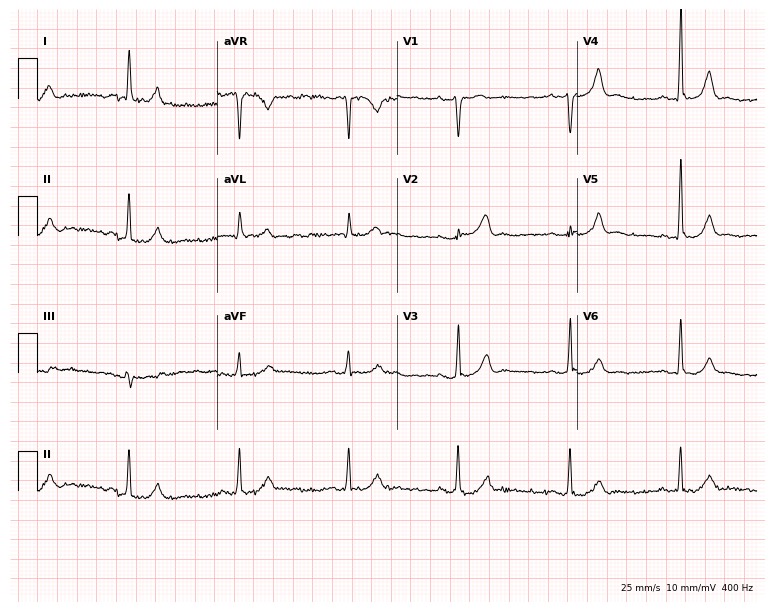
Resting 12-lead electrocardiogram. Patient: a male, 54 years old. Read as a normal ECG.